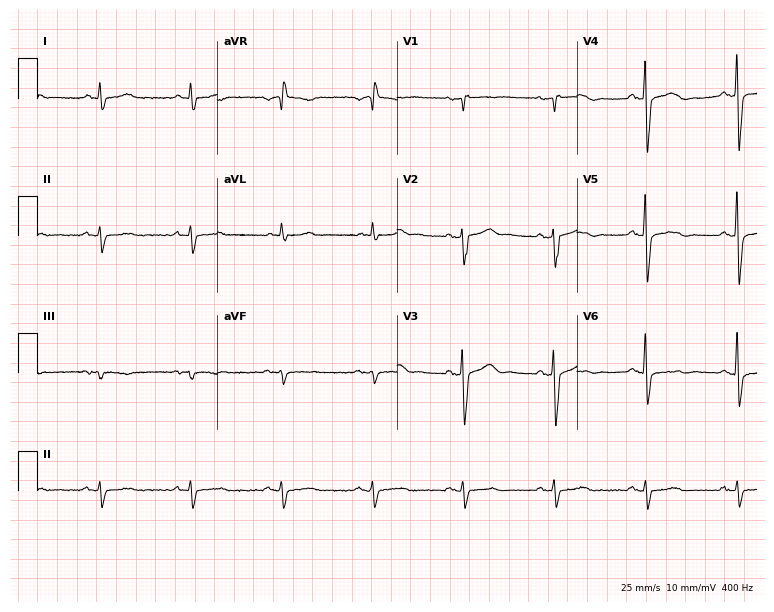
ECG — a 70-year-old male patient. Screened for six findings — first-degree AV block, right bundle branch block, left bundle branch block, sinus bradycardia, atrial fibrillation, sinus tachycardia — none is recorded. Other findings, if any, are not listed.